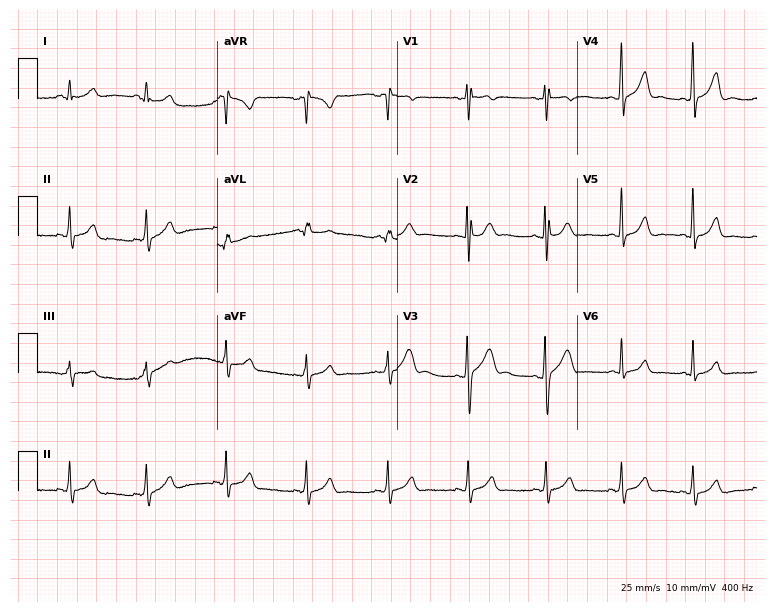
12-lead ECG from a 26-year-old male patient (7.3-second recording at 400 Hz). Recorded interpretation: within normal limits.